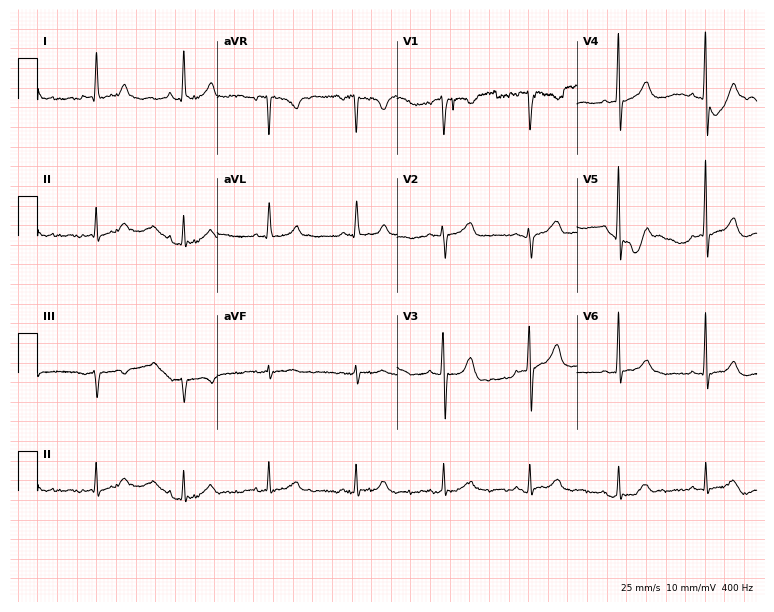
12-lead ECG from a male, 66 years old. Recorded interpretation: within normal limits.